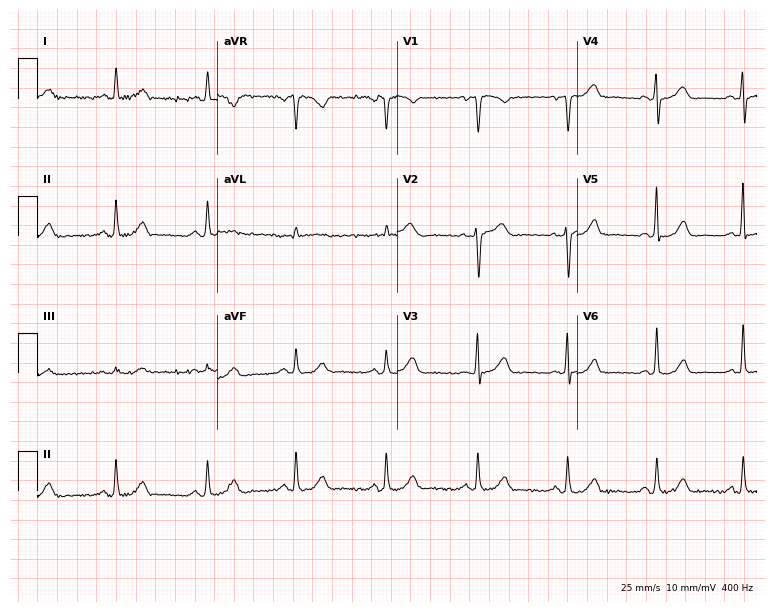
Electrocardiogram, a woman, 57 years old. Of the six screened findings (first-degree AV block, right bundle branch block, left bundle branch block, sinus bradycardia, atrial fibrillation, sinus tachycardia), none is recorded. Only these six findings were labelled.